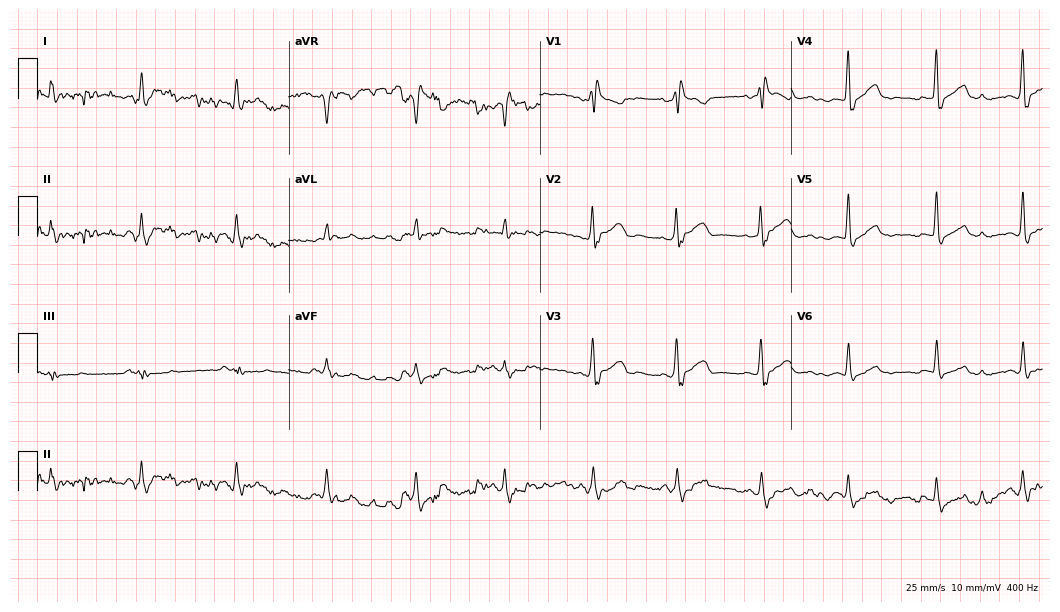
Standard 12-lead ECG recorded from a 61-year-old male (10.2-second recording at 400 Hz). None of these six findings is recorded: first-degree AV block, right bundle branch block (RBBB), left bundle branch block (LBBB), sinus bradycardia, atrial fibrillation (AF), sinus tachycardia. Other findings, if any, are not listed.